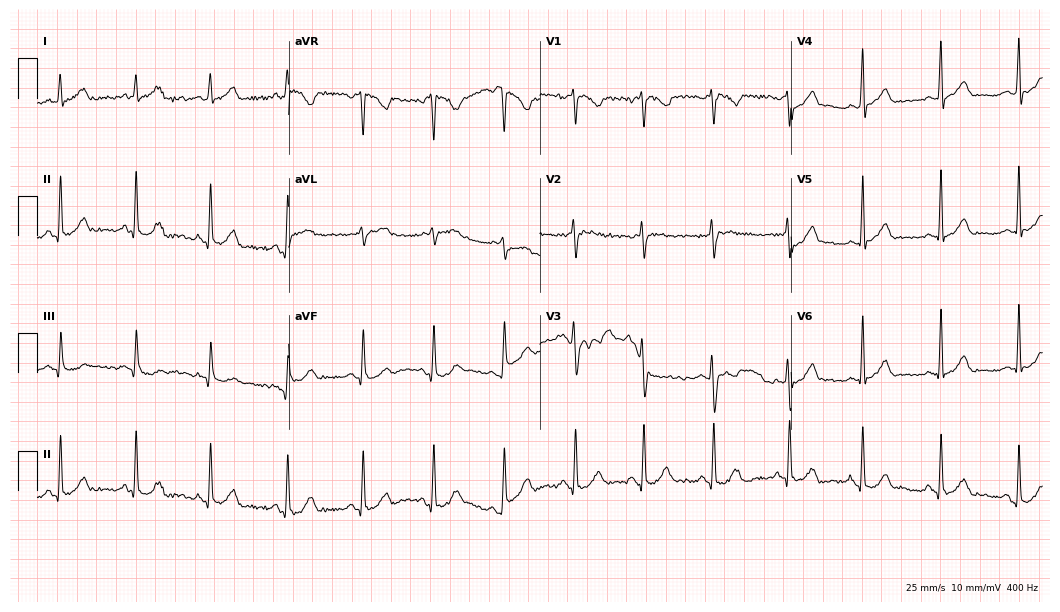
12-lead ECG from a 30-year-old female patient (10.2-second recording at 400 Hz). Recorded interpretation: within normal limits.